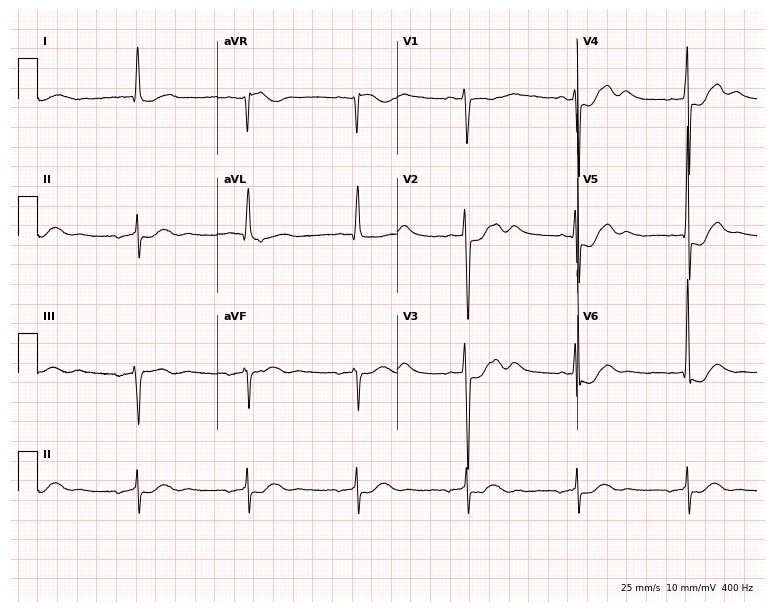
Standard 12-lead ECG recorded from a female patient, 66 years old (7.3-second recording at 400 Hz). None of these six findings is recorded: first-degree AV block, right bundle branch block, left bundle branch block, sinus bradycardia, atrial fibrillation, sinus tachycardia.